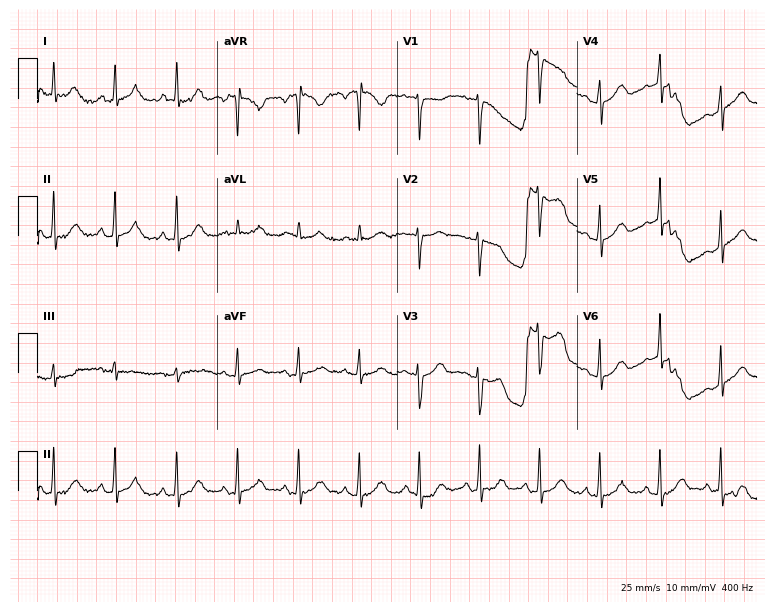
Electrocardiogram, a female, 33 years old. Overall reading on record: normal ECG.